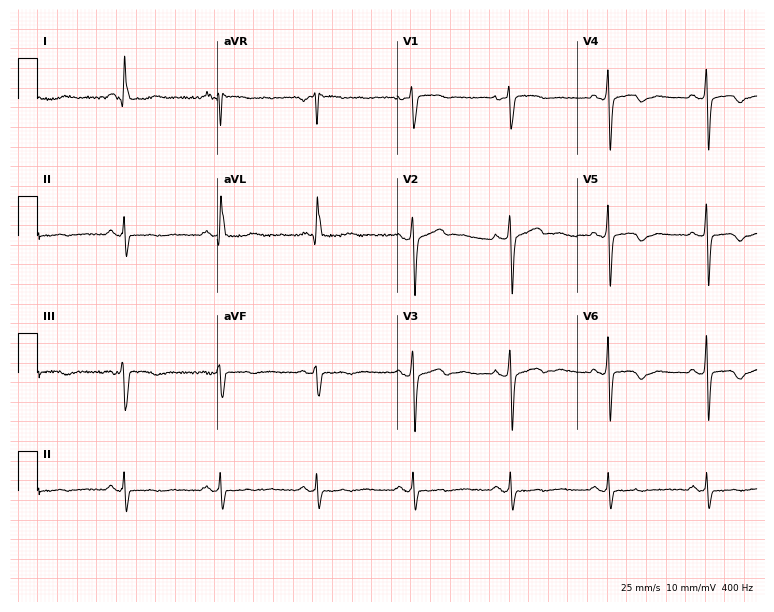
12-lead ECG (7.3-second recording at 400 Hz) from a 56-year-old man. Screened for six findings — first-degree AV block, right bundle branch block, left bundle branch block, sinus bradycardia, atrial fibrillation, sinus tachycardia — none is recorded. Only these six findings were labelled.